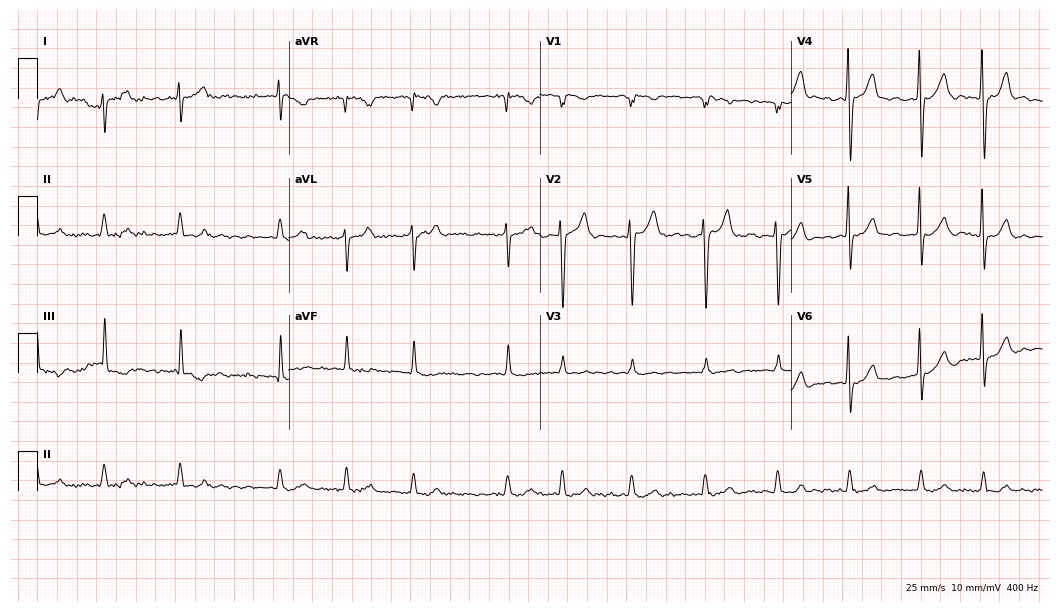
Resting 12-lead electrocardiogram (10.2-second recording at 400 Hz). Patient: a male, 85 years old. The tracing shows atrial fibrillation.